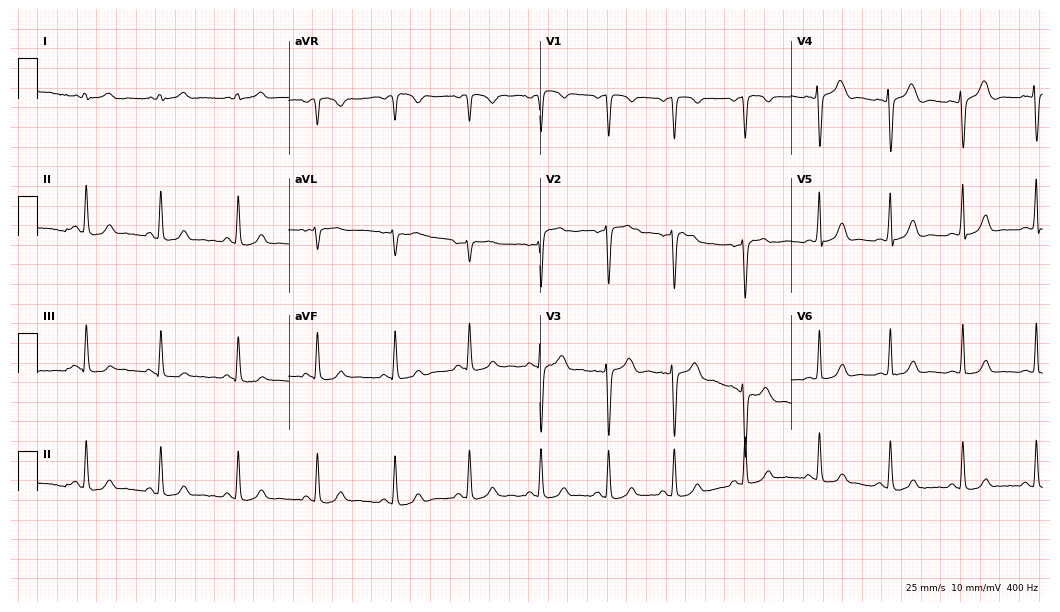
Standard 12-lead ECG recorded from a female patient, 29 years old. Read as a normal ECG.